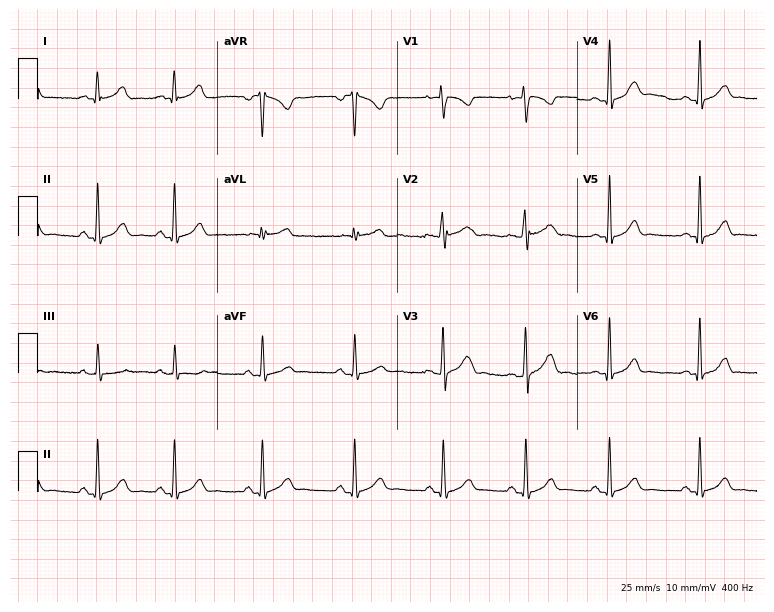
12-lead ECG from a 22-year-old female patient. No first-degree AV block, right bundle branch block, left bundle branch block, sinus bradycardia, atrial fibrillation or sinus tachycardia recorded for this tracing. Only these six findings were labelled.